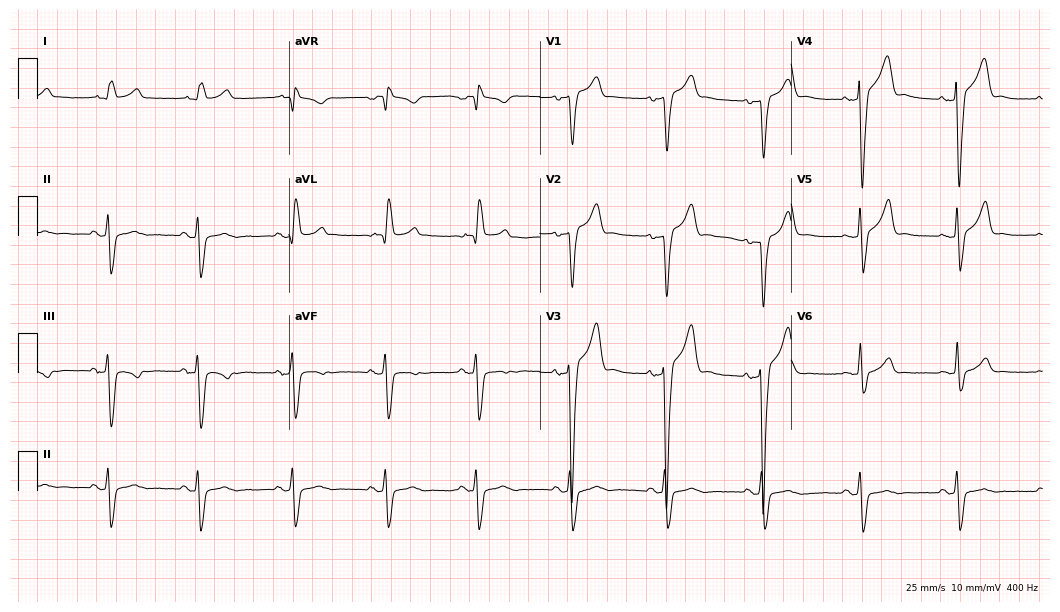
Electrocardiogram, a 62-year-old male. Of the six screened findings (first-degree AV block, right bundle branch block, left bundle branch block, sinus bradycardia, atrial fibrillation, sinus tachycardia), none is recorded.